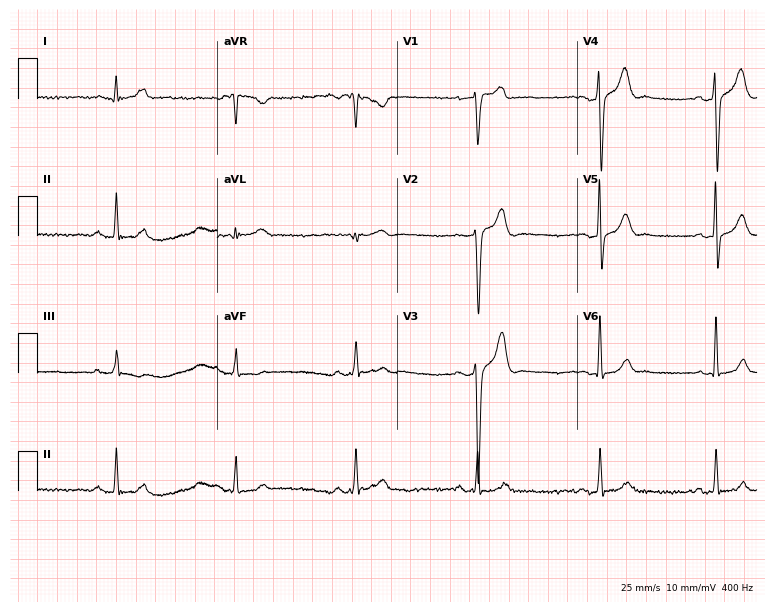
12-lead ECG from a man, 32 years old. Shows sinus bradycardia (a sinus rate of 50 beats per minute or less).